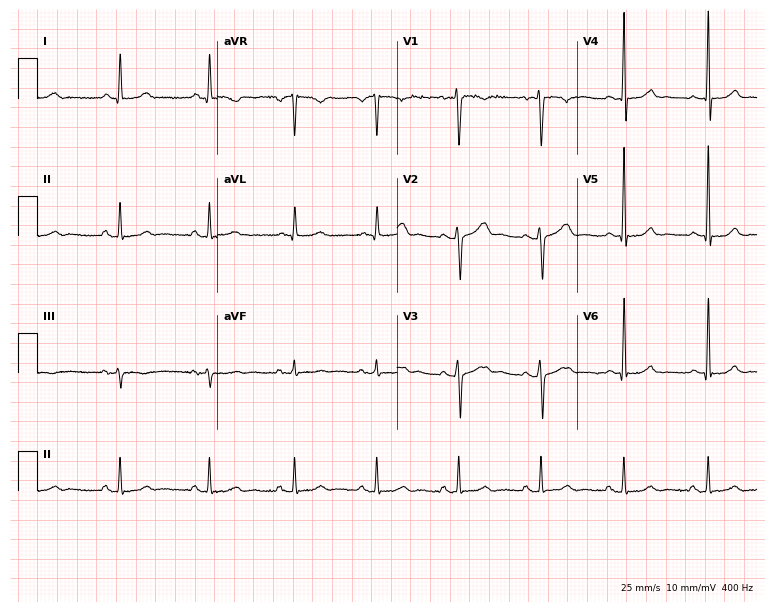
Electrocardiogram (7.3-second recording at 400 Hz), a female patient, 29 years old. Of the six screened findings (first-degree AV block, right bundle branch block, left bundle branch block, sinus bradycardia, atrial fibrillation, sinus tachycardia), none is recorded. Other findings, if any, are not listed.